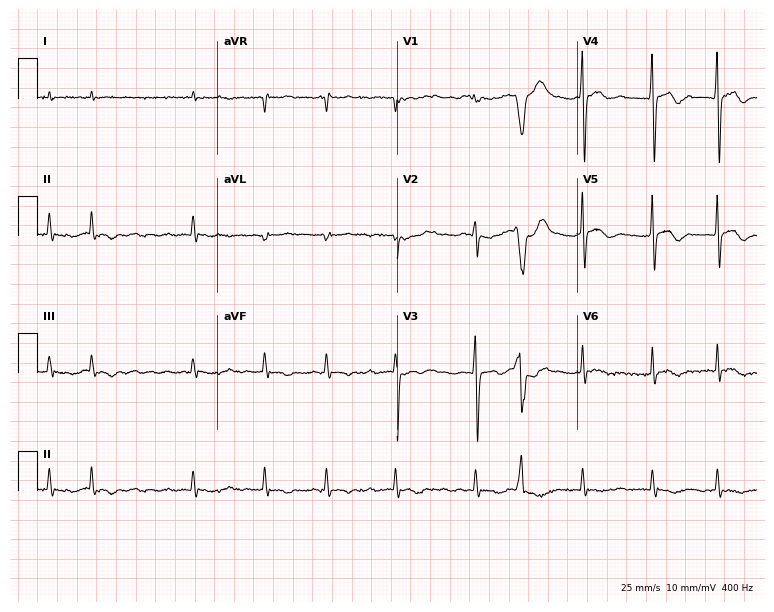
Standard 12-lead ECG recorded from a male patient, 79 years old (7.3-second recording at 400 Hz). The tracing shows atrial fibrillation (AF).